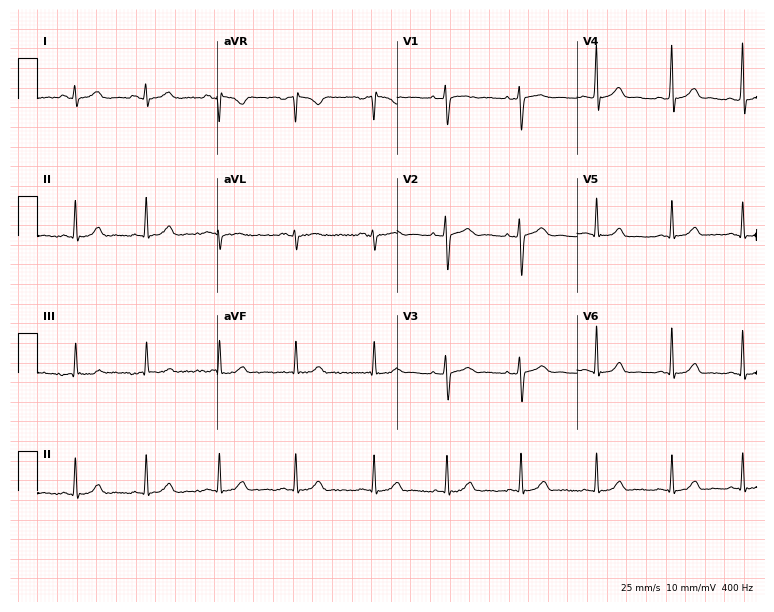
Standard 12-lead ECG recorded from a 20-year-old female. None of these six findings is recorded: first-degree AV block, right bundle branch block, left bundle branch block, sinus bradycardia, atrial fibrillation, sinus tachycardia.